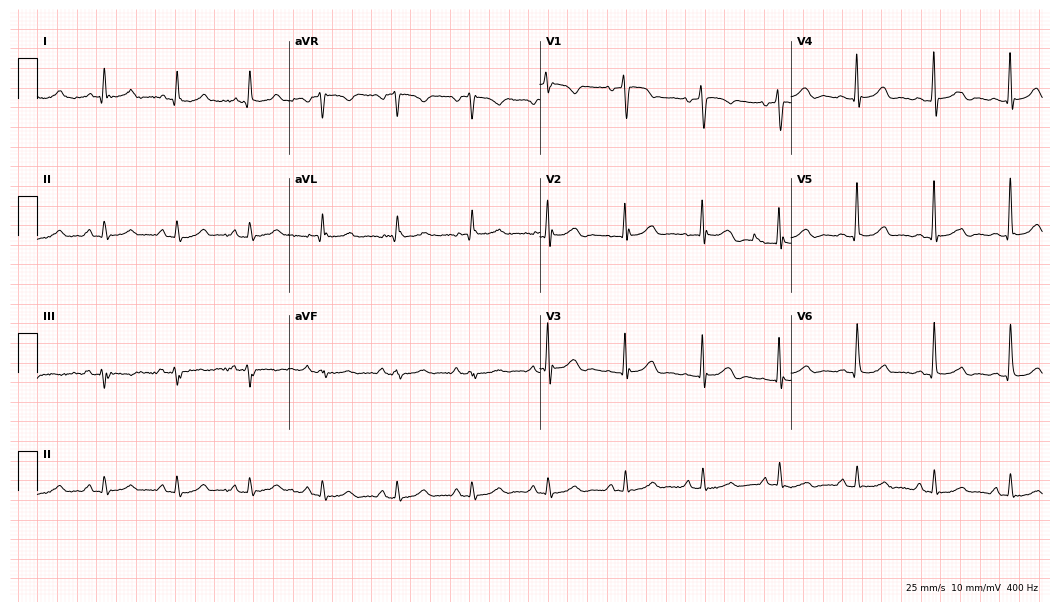
12-lead ECG from a female patient, 81 years old. Screened for six findings — first-degree AV block, right bundle branch block, left bundle branch block, sinus bradycardia, atrial fibrillation, sinus tachycardia — none is recorded. Findings outside these six are not listed.